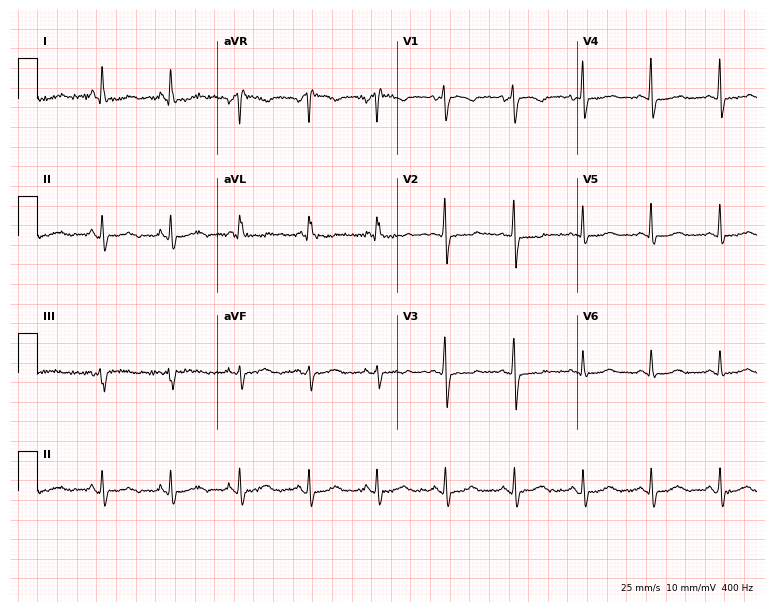
Resting 12-lead electrocardiogram (7.3-second recording at 400 Hz). Patient: a woman, 54 years old. None of these six findings is recorded: first-degree AV block, right bundle branch block, left bundle branch block, sinus bradycardia, atrial fibrillation, sinus tachycardia. Findings outside these six are not listed.